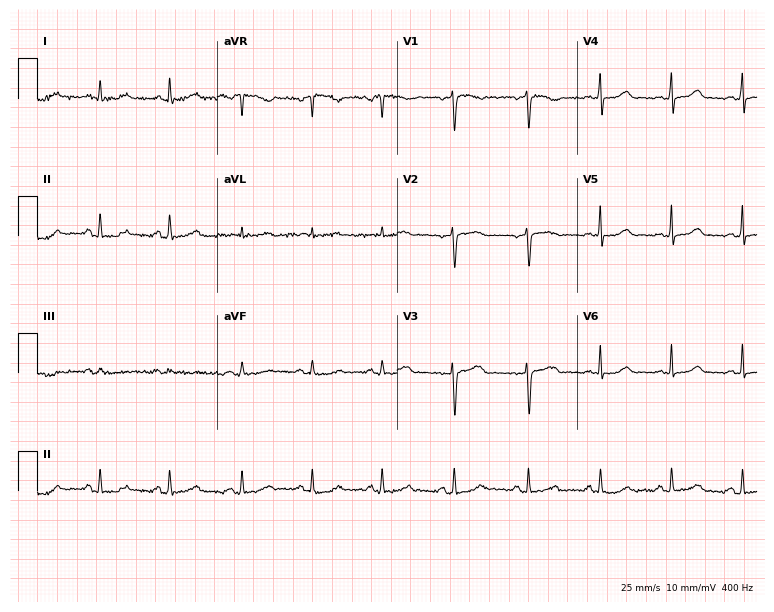
Resting 12-lead electrocardiogram (7.3-second recording at 400 Hz). Patient: a female, 48 years old. None of these six findings is recorded: first-degree AV block, right bundle branch block, left bundle branch block, sinus bradycardia, atrial fibrillation, sinus tachycardia.